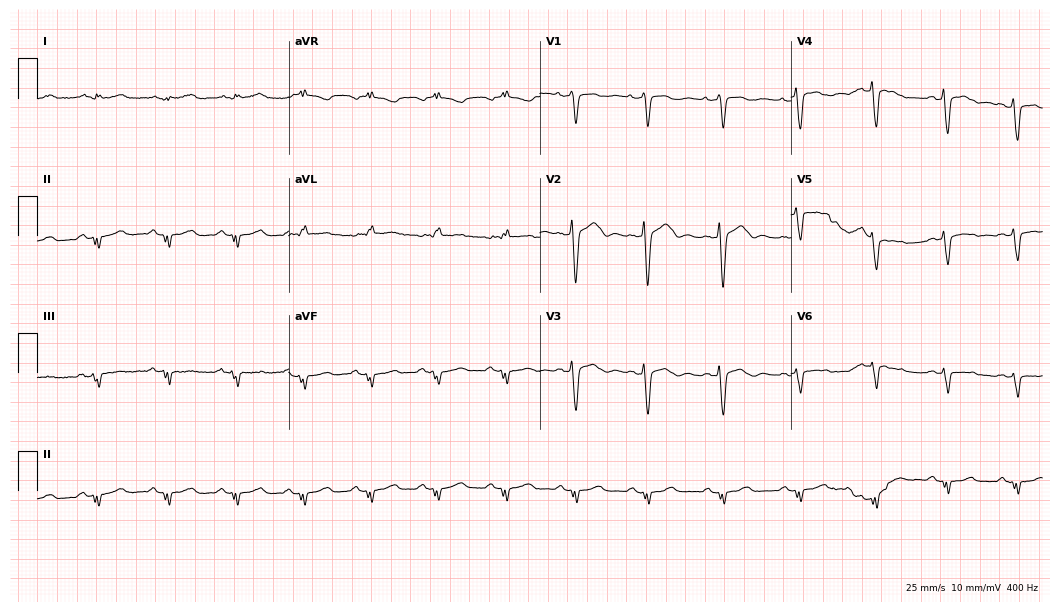
Standard 12-lead ECG recorded from a male patient, 41 years old (10.2-second recording at 400 Hz). None of these six findings is recorded: first-degree AV block, right bundle branch block, left bundle branch block, sinus bradycardia, atrial fibrillation, sinus tachycardia. Only these six findings were labelled.